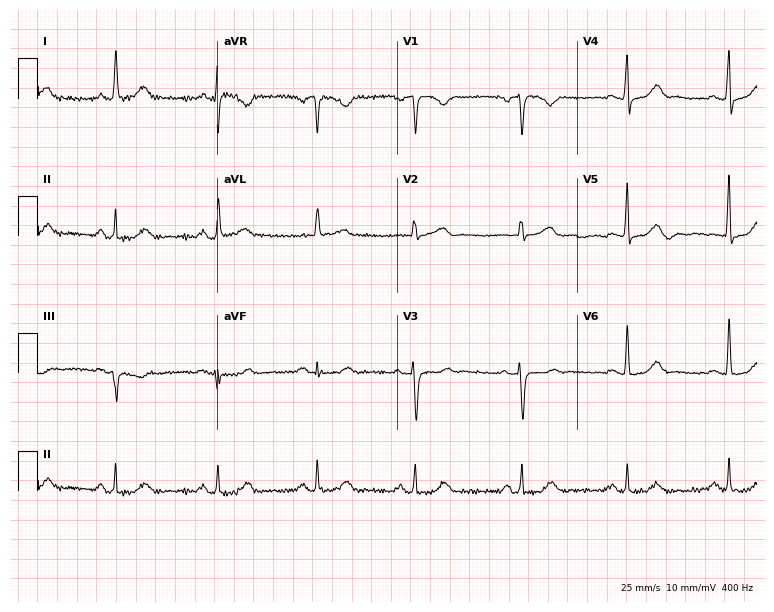
ECG (7.3-second recording at 400 Hz) — a 60-year-old male. Labelled as a normal ECG.